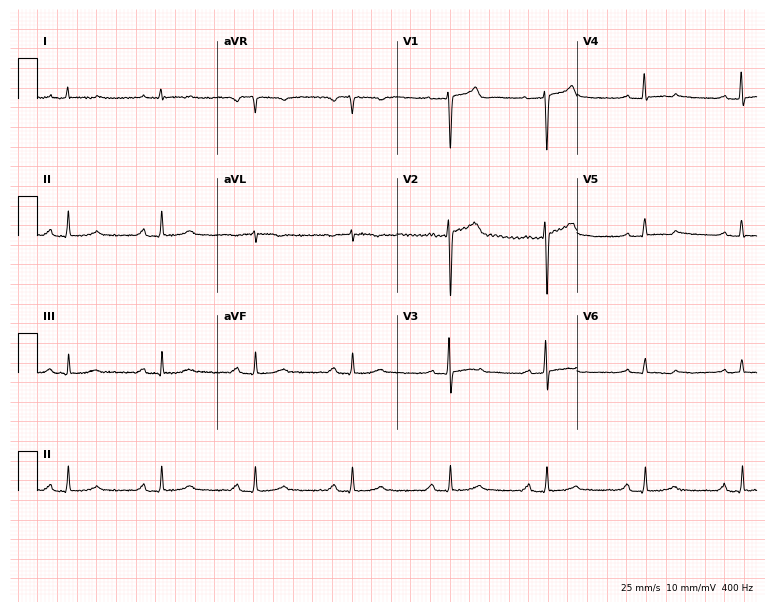
ECG — a 61-year-old male. Screened for six findings — first-degree AV block, right bundle branch block, left bundle branch block, sinus bradycardia, atrial fibrillation, sinus tachycardia — none is recorded.